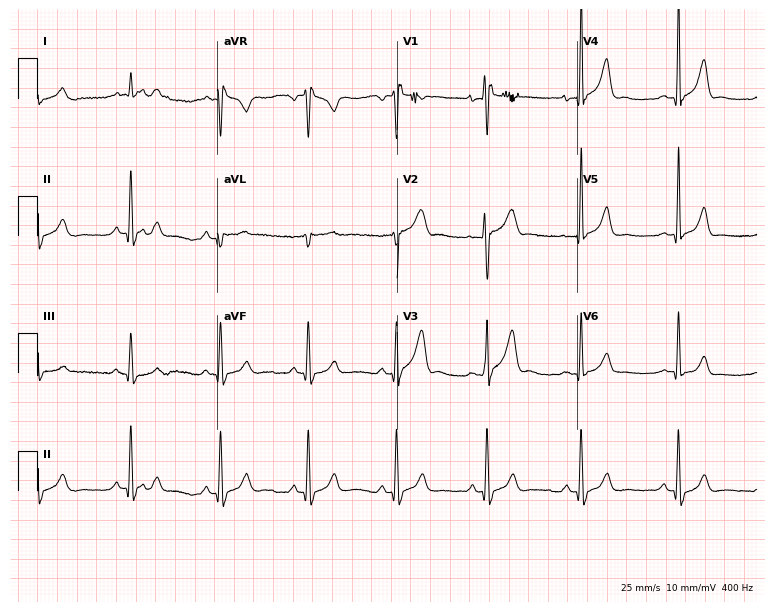
12-lead ECG from a 29-year-old man. No first-degree AV block, right bundle branch block, left bundle branch block, sinus bradycardia, atrial fibrillation or sinus tachycardia recorded for this tracing.